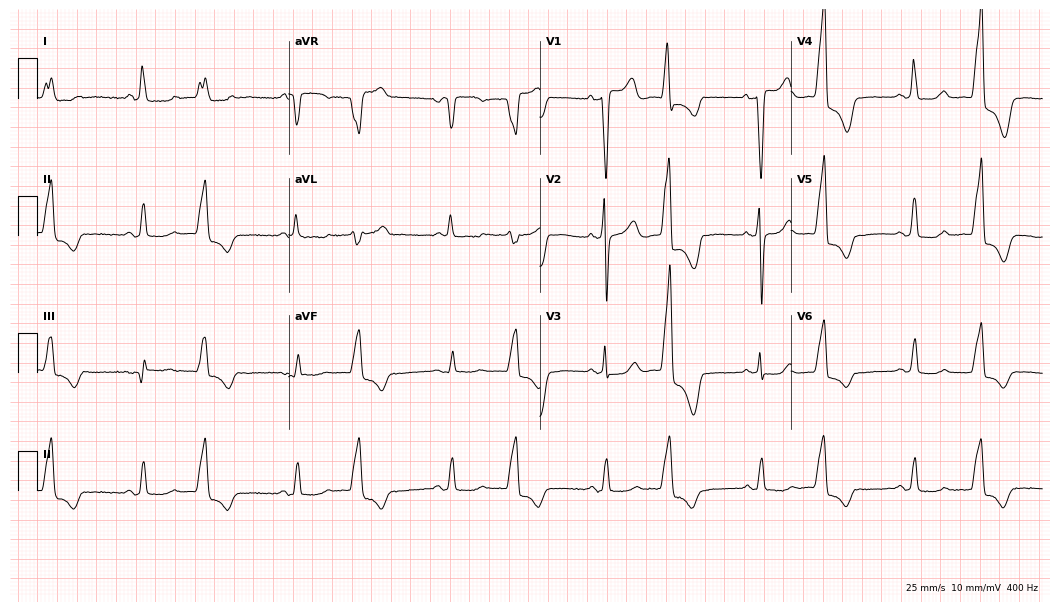
Electrocardiogram, an 80-year-old female patient. Of the six screened findings (first-degree AV block, right bundle branch block (RBBB), left bundle branch block (LBBB), sinus bradycardia, atrial fibrillation (AF), sinus tachycardia), none is recorded. Other findings, if any, are not listed.